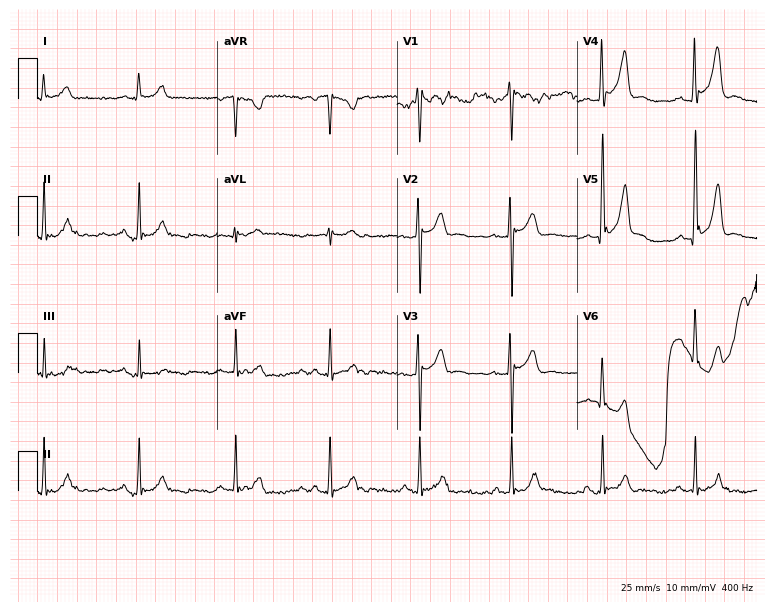
12-lead ECG from a male, 40 years old (7.3-second recording at 400 Hz). No first-degree AV block, right bundle branch block (RBBB), left bundle branch block (LBBB), sinus bradycardia, atrial fibrillation (AF) or sinus tachycardia recorded for this tracing.